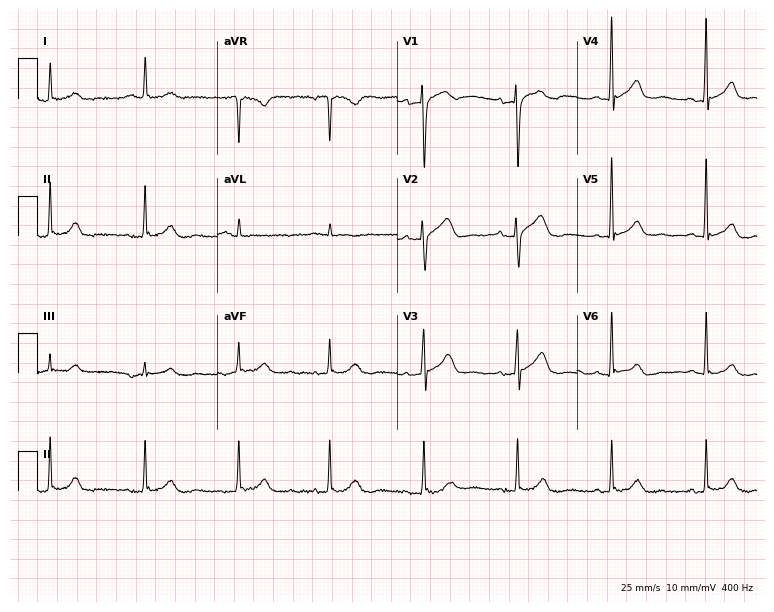
12-lead ECG (7.3-second recording at 400 Hz) from a female patient, 69 years old. Screened for six findings — first-degree AV block, right bundle branch block (RBBB), left bundle branch block (LBBB), sinus bradycardia, atrial fibrillation (AF), sinus tachycardia — none is recorded.